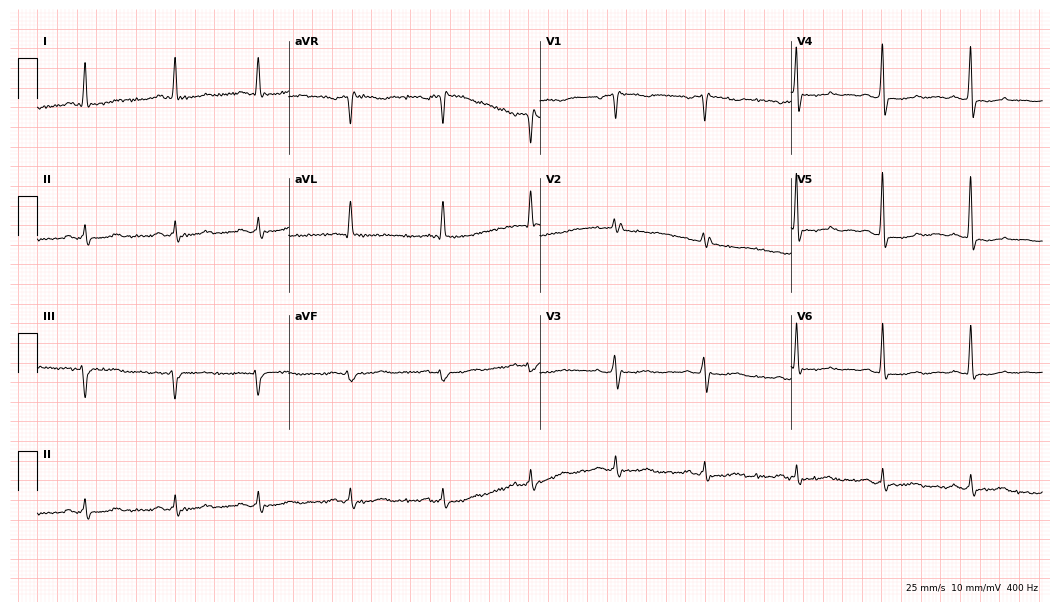
Standard 12-lead ECG recorded from a woman, 63 years old (10.2-second recording at 400 Hz). None of these six findings is recorded: first-degree AV block, right bundle branch block (RBBB), left bundle branch block (LBBB), sinus bradycardia, atrial fibrillation (AF), sinus tachycardia.